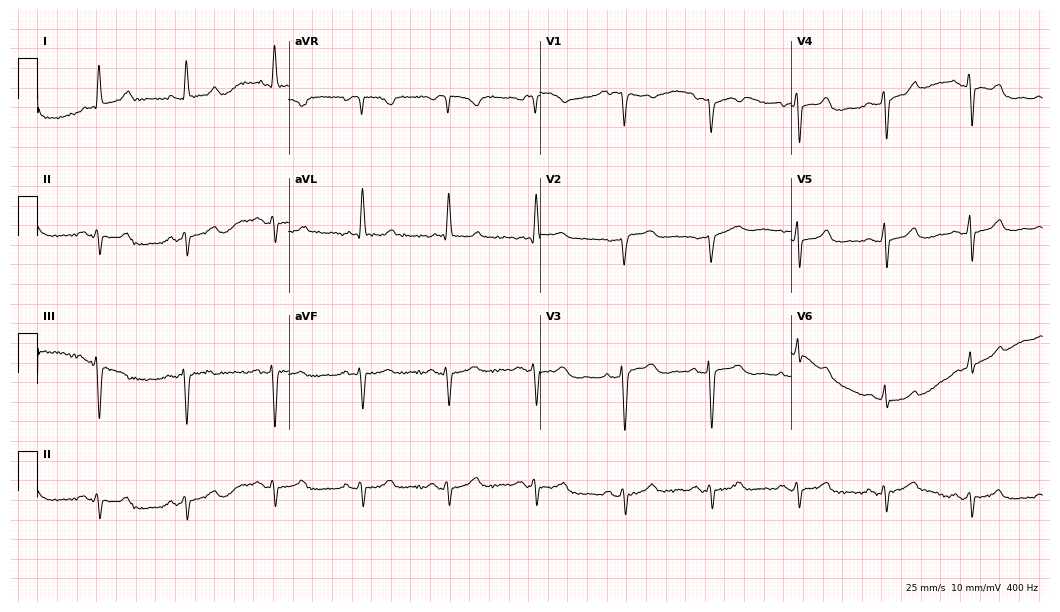
12-lead ECG from a female, 68 years old. No first-degree AV block, right bundle branch block, left bundle branch block, sinus bradycardia, atrial fibrillation or sinus tachycardia recorded for this tracing. Only these six findings were labelled.